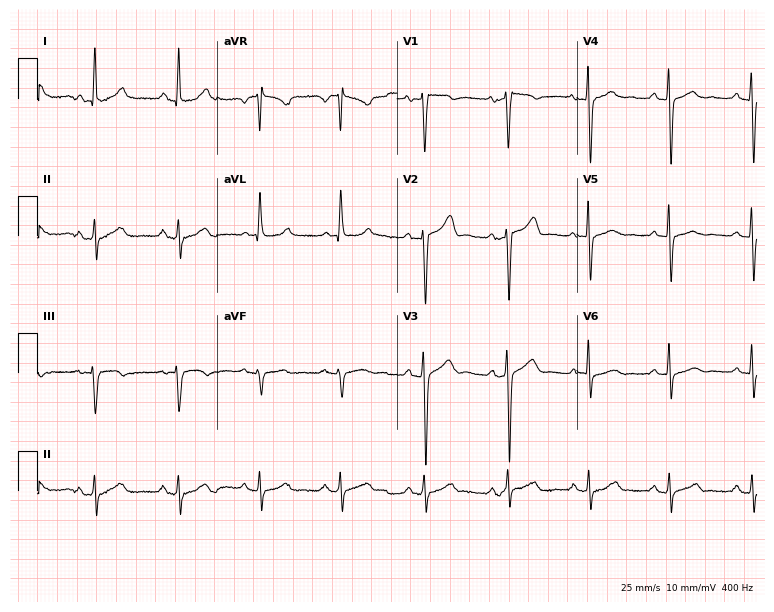
ECG (7.3-second recording at 400 Hz) — a 43-year-old male. Screened for six findings — first-degree AV block, right bundle branch block, left bundle branch block, sinus bradycardia, atrial fibrillation, sinus tachycardia — none is recorded. Other findings, if any, are not listed.